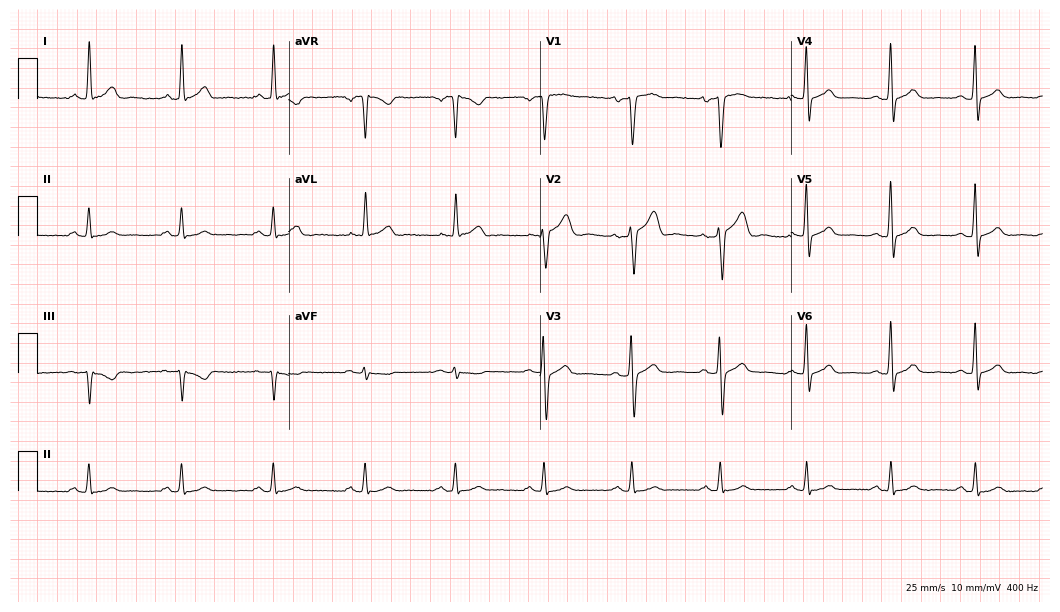
Standard 12-lead ECG recorded from a man, 50 years old (10.2-second recording at 400 Hz). Read as a normal ECG.